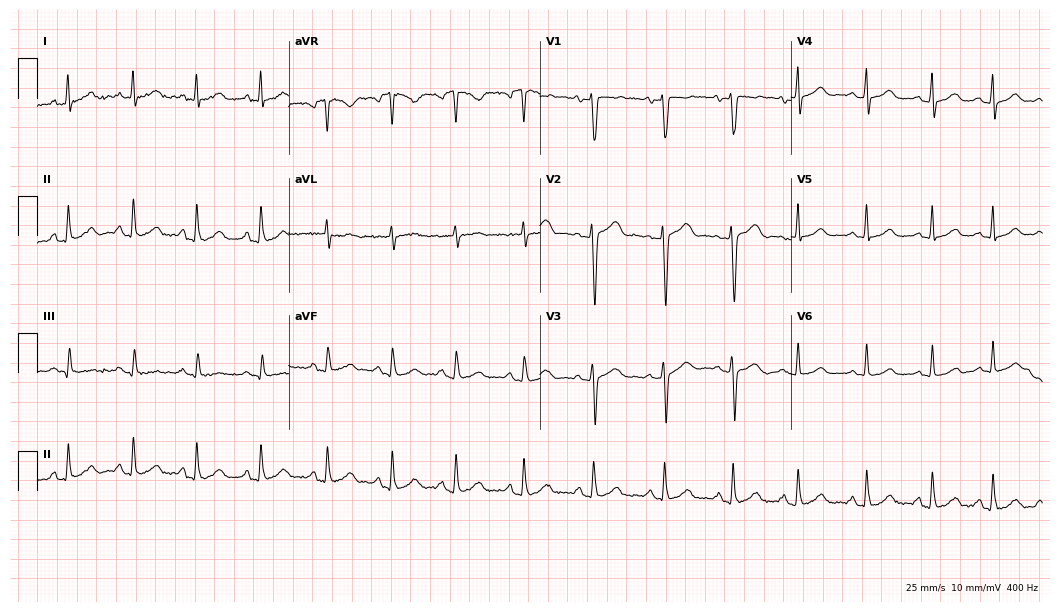
Resting 12-lead electrocardiogram (10.2-second recording at 400 Hz). Patient: a female, 29 years old. Read as a normal ECG.